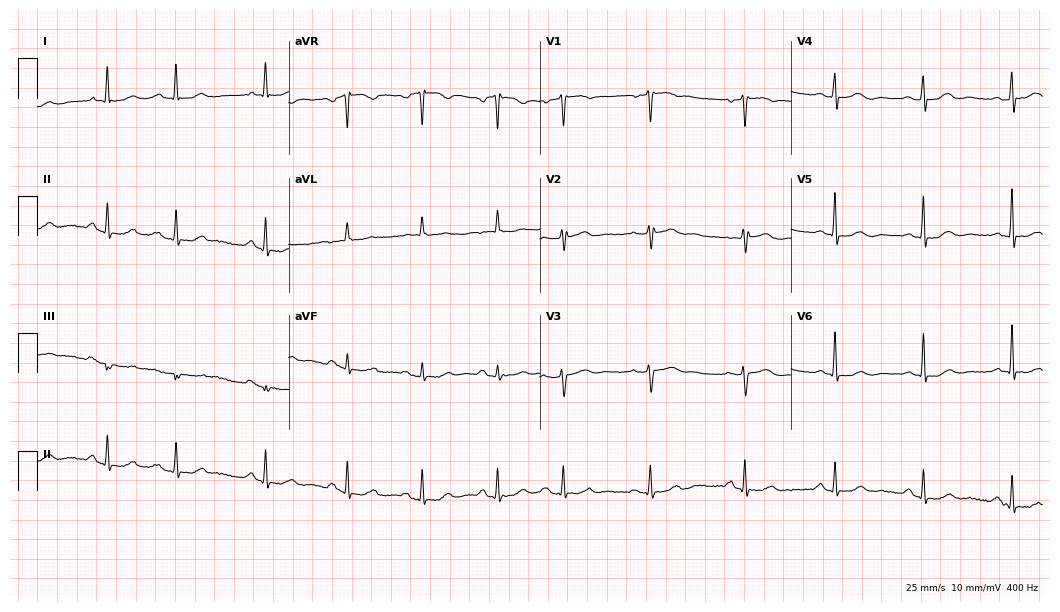
12-lead ECG from a female, 83 years old. No first-degree AV block, right bundle branch block, left bundle branch block, sinus bradycardia, atrial fibrillation or sinus tachycardia recorded for this tracing. Only these six findings were labelled.